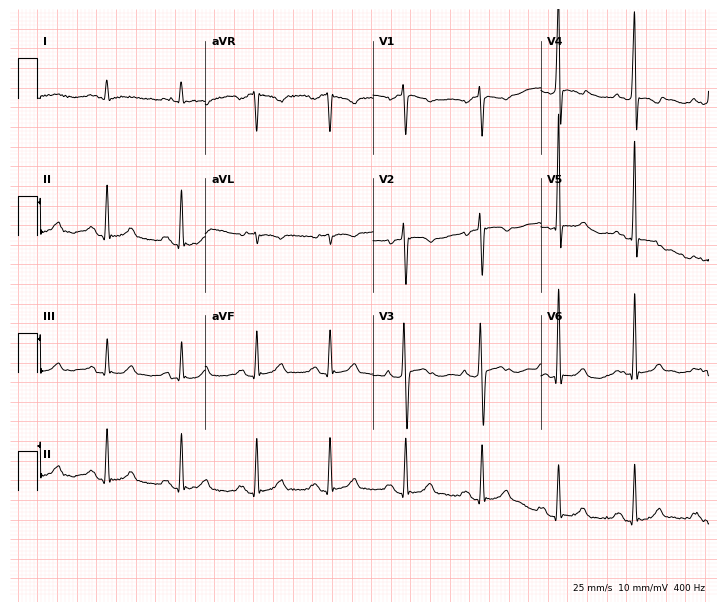
12-lead ECG from a 41-year-old male patient. Screened for six findings — first-degree AV block, right bundle branch block, left bundle branch block, sinus bradycardia, atrial fibrillation, sinus tachycardia — none is recorded. Other findings, if any, are not listed.